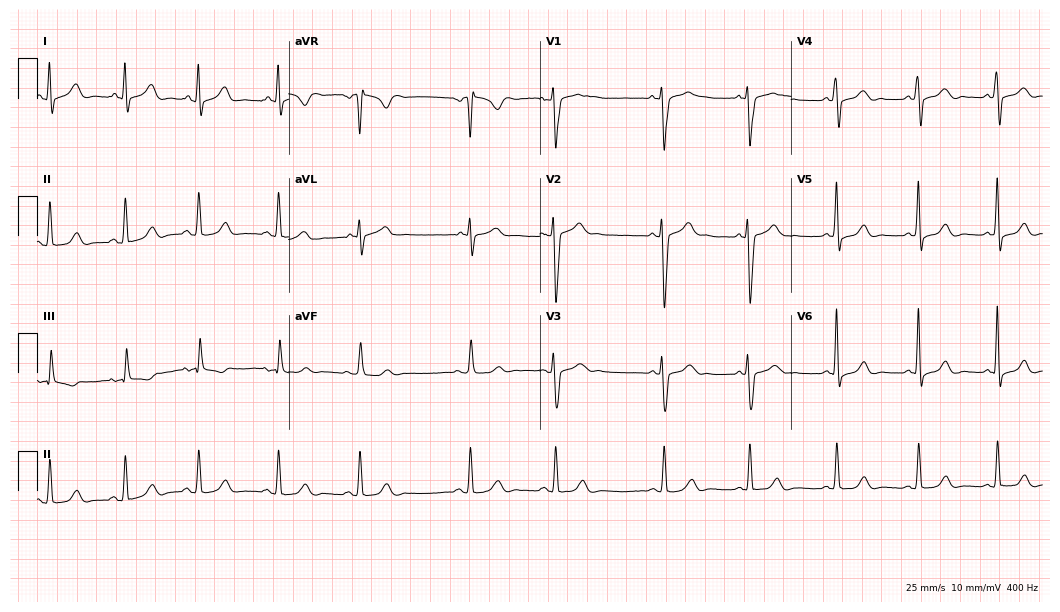
Resting 12-lead electrocardiogram (10.2-second recording at 400 Hz). Patient: a 27-year-old male. None of these six findings is recorded: first-degree AV block, right bundle branch block, left bundle branch block, sinus bradycardia, atrial fibrillation, sinus tachycardia.